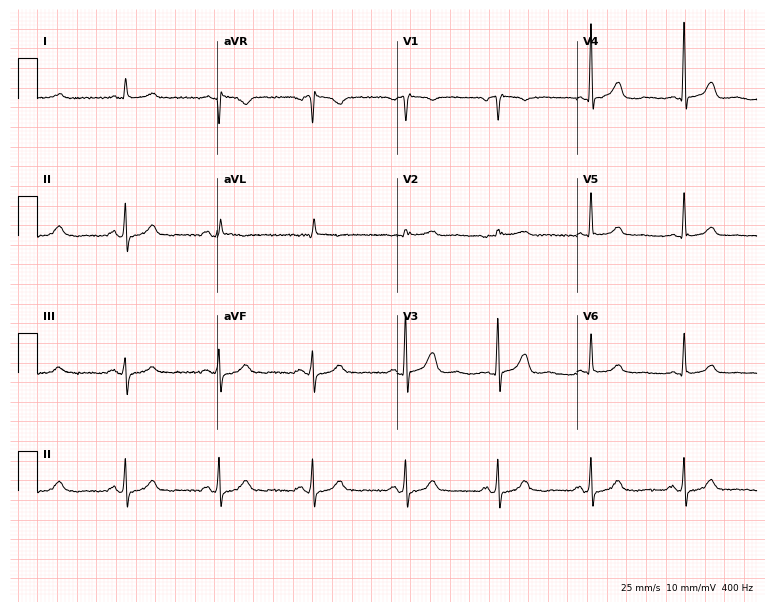
12-lead ECG from a 66-year-old female (7.3-second recording at 400 Hz). No first-degree AV block, right bundle branch block (RBBB), left bundle branch block (LBBB), sinus bradycardia, atrial fibrillation (AF) or sinus tachycardia recorded for this tracing. Only these six findings were labelled.